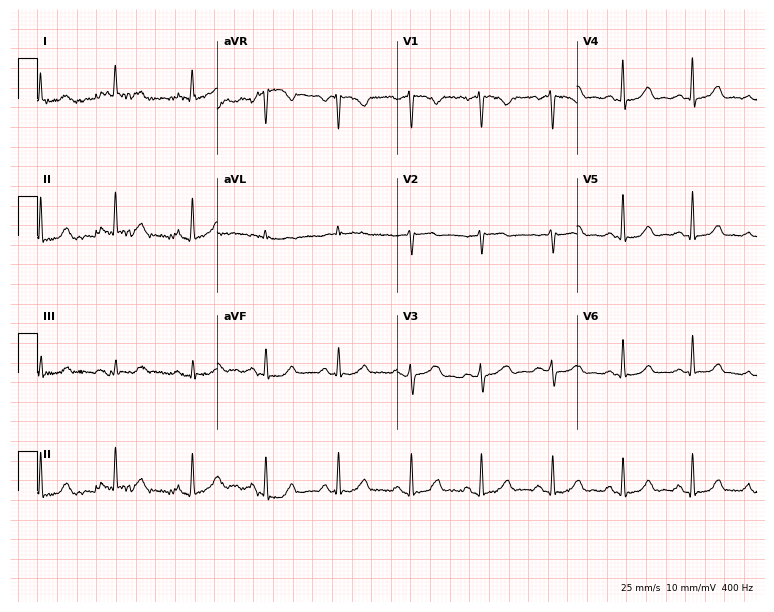
ECG (7.3-second recording at 400 Hz) — a female, 44 years old. Labelled as a normal ECG.